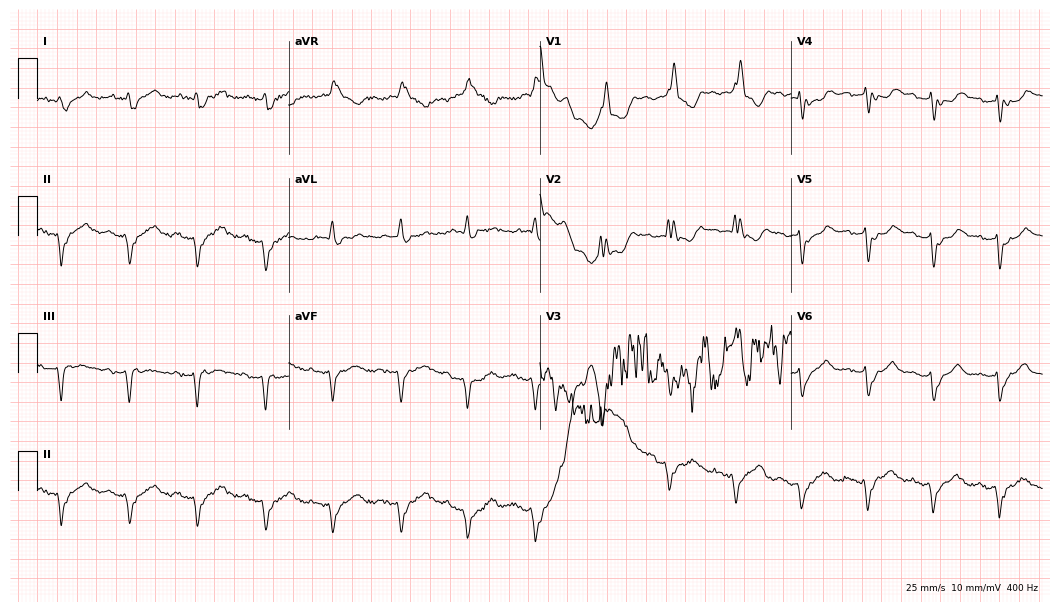
ECG — a 79-year-old male. Screened for six findings — first-degree AV block, right bundle branch block (RBBB), left bundle branch block (LBBB), sinus bradycardia, atrial fibrillation (AF), sinus tachycardia — none is recorded.